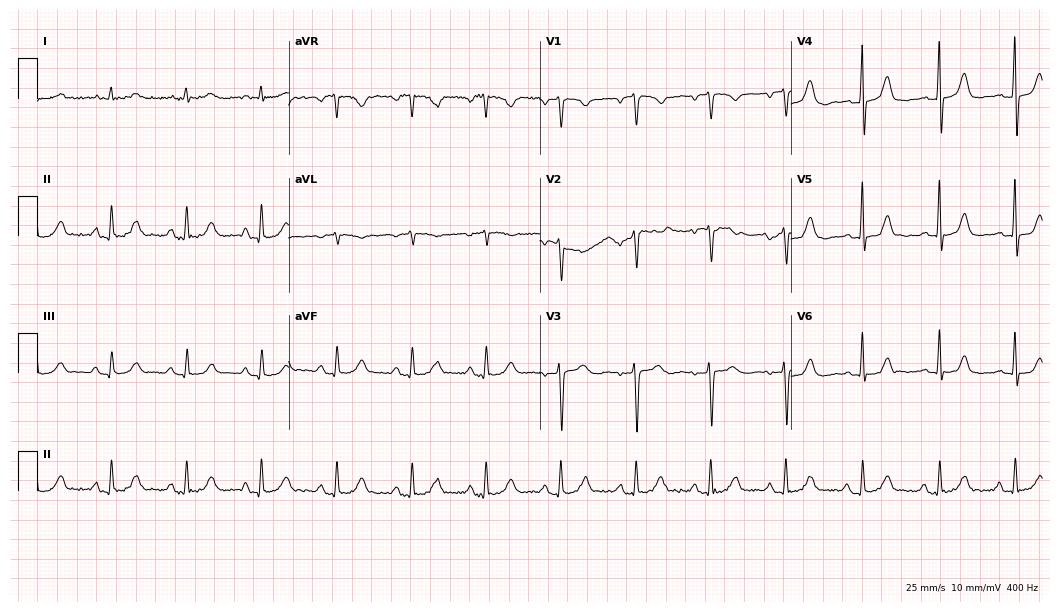
Electrocardiogram, a female patient, 71 years old. Overall reading on record: normal ECG.